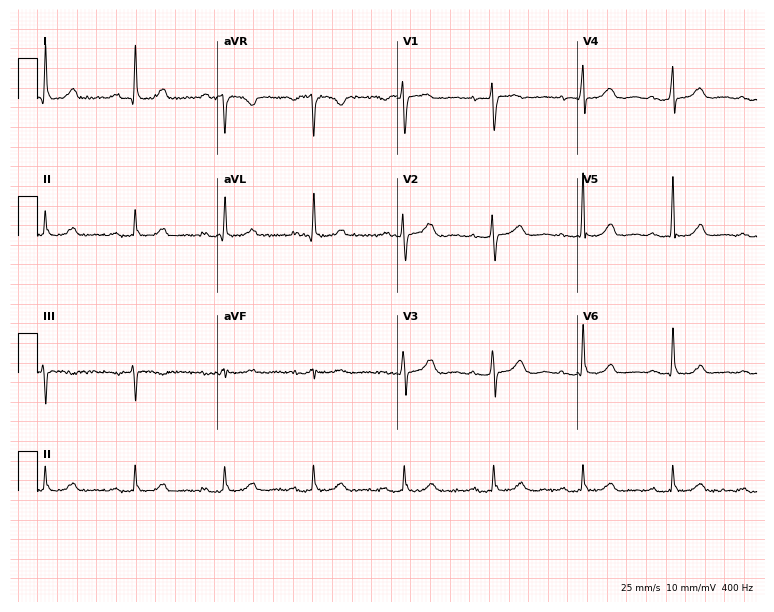
Electrocardiogram (7.3-second recording at 400 Hz), a woman, 71 years old. Overall reading on record: normal ECG.